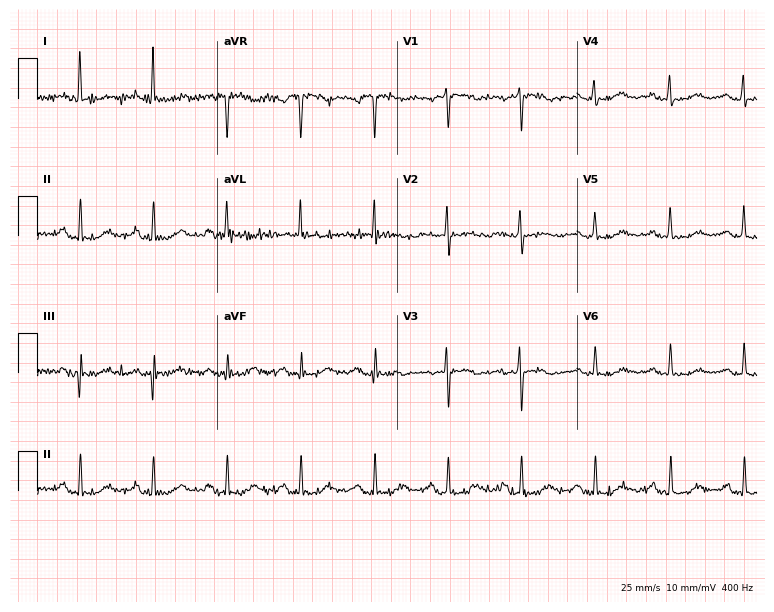
ECG (7.3-second recording at 400 Hz) — a 77-year-old female patient. Screened for six findings — first-degree AV block, right bundle branch block (RBBB), left bundle branch block (LBBB), sinus bradycardia, atrial fibrillation (AF), sinus tachycardia — none is recorded.